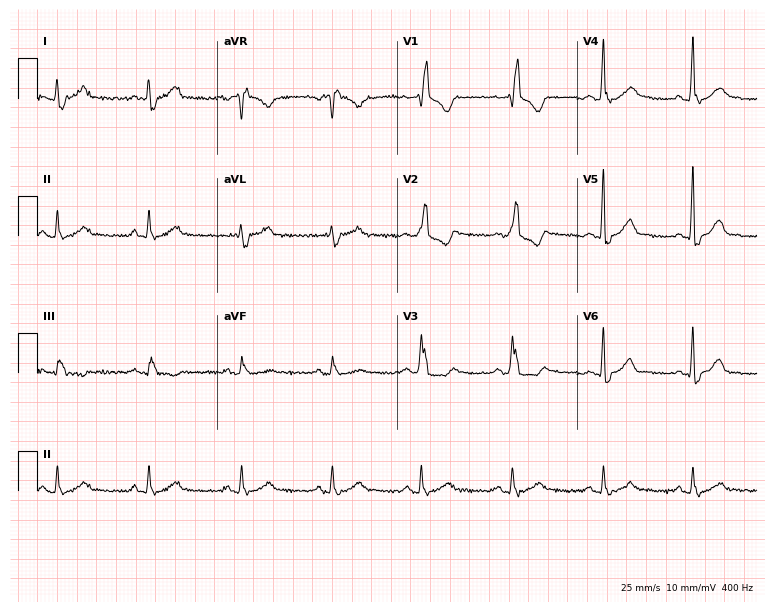
Electrocardiogram, a 61-year-old male patient. Interpretation includes right bundle branch block (RBBB).